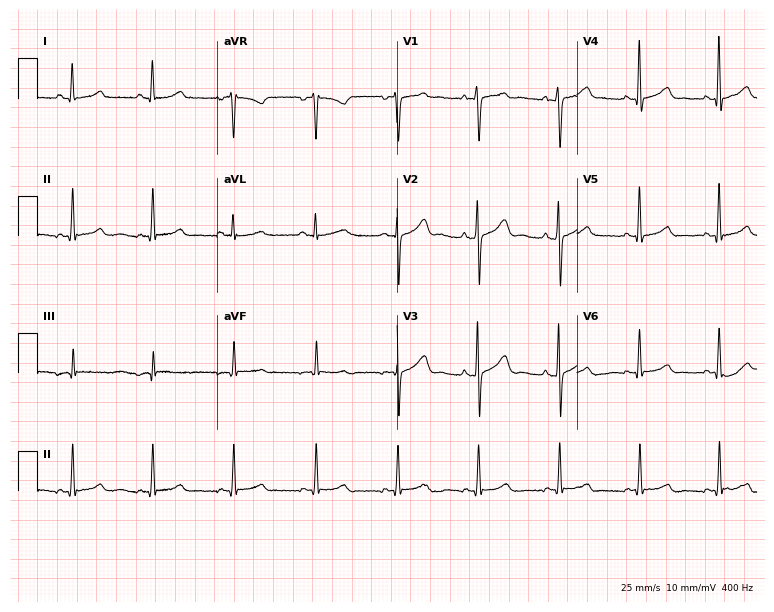
Standard 12-lead ECG recorded from a 37-year-old woman (7.3-second recording at 400 Hz). Read as a normal ECG.